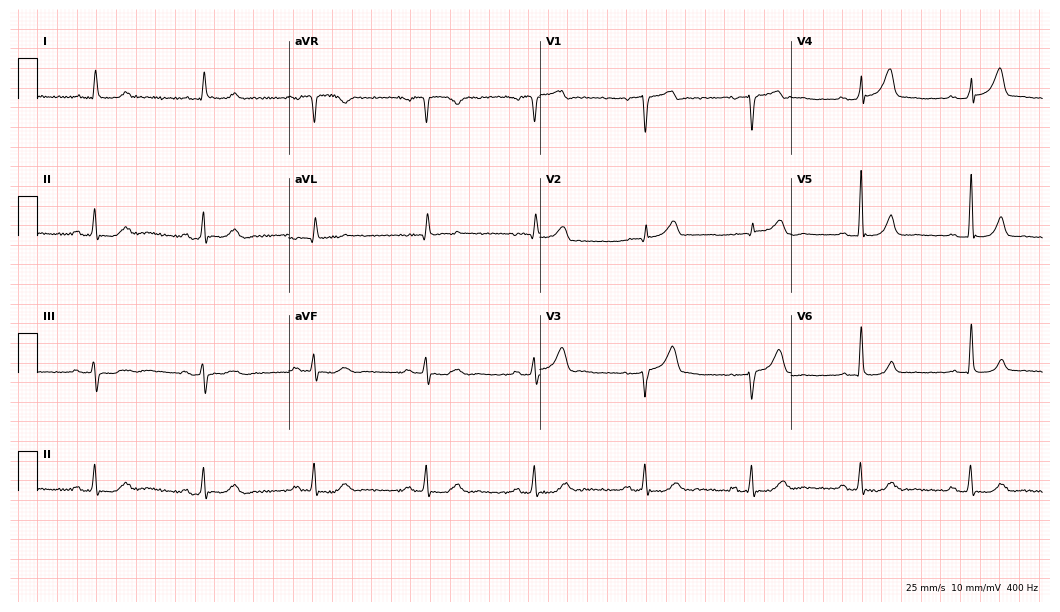
12-lead ECG (10.2-second recording at 400 Hz) from an 83-year-old man. Screened for six findings — first-degree AV block, right bundle branch block, left bundle branch block, sinus bradycardia, atrial fibrillation, sinus tachycardia — none is recorded. Only these six findings were labelled.